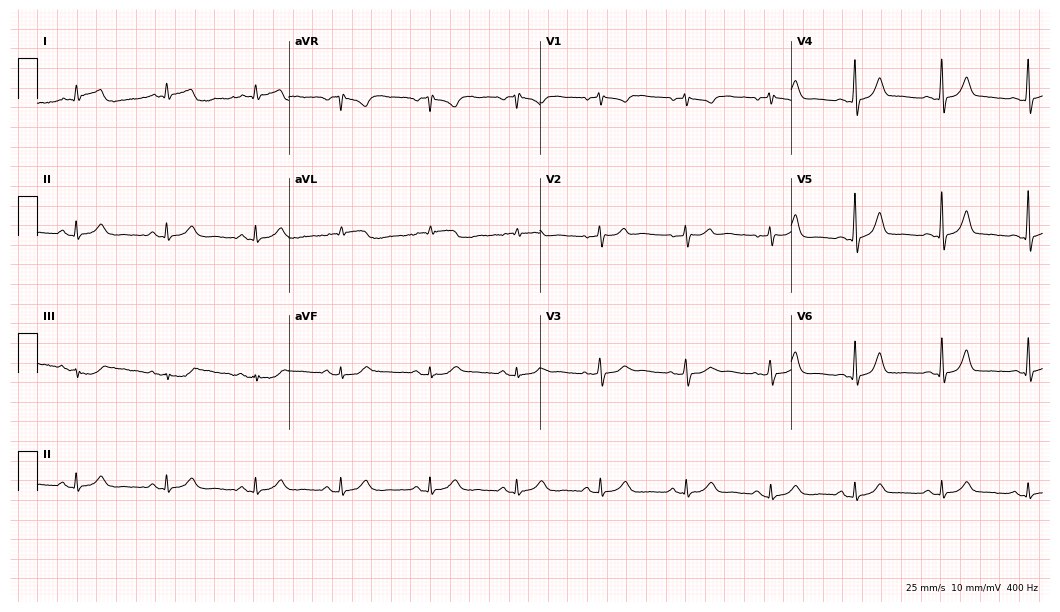
Standard 12-lead ECG recorded from a male patient, 59 years old. Read as a normal ECG.